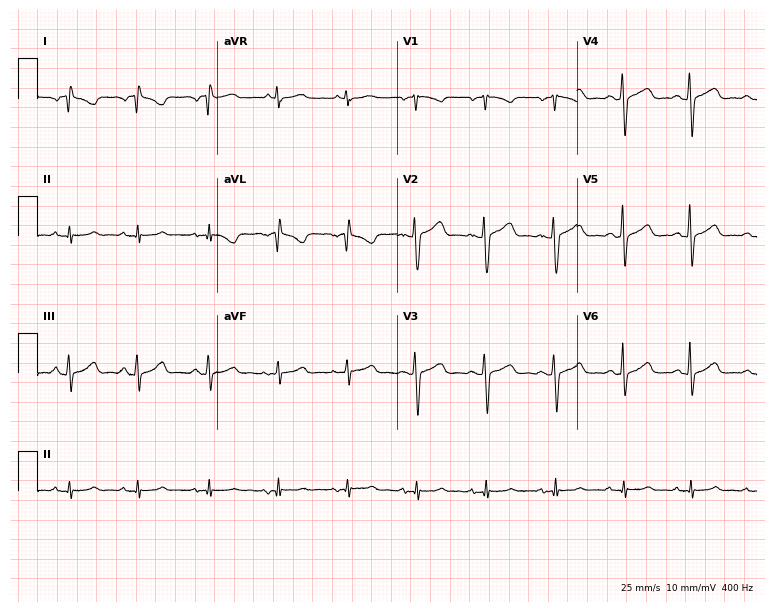
12-lead ECG from a female, 31 years old (7.3-second recording at 400 Hz). No first-degree AV block, right bundle branch block, left bundle branch block, sinus bradycardia, atrial fibrillation or sinus tachycardia recorded for this tracing. Only these six findings were labelled.